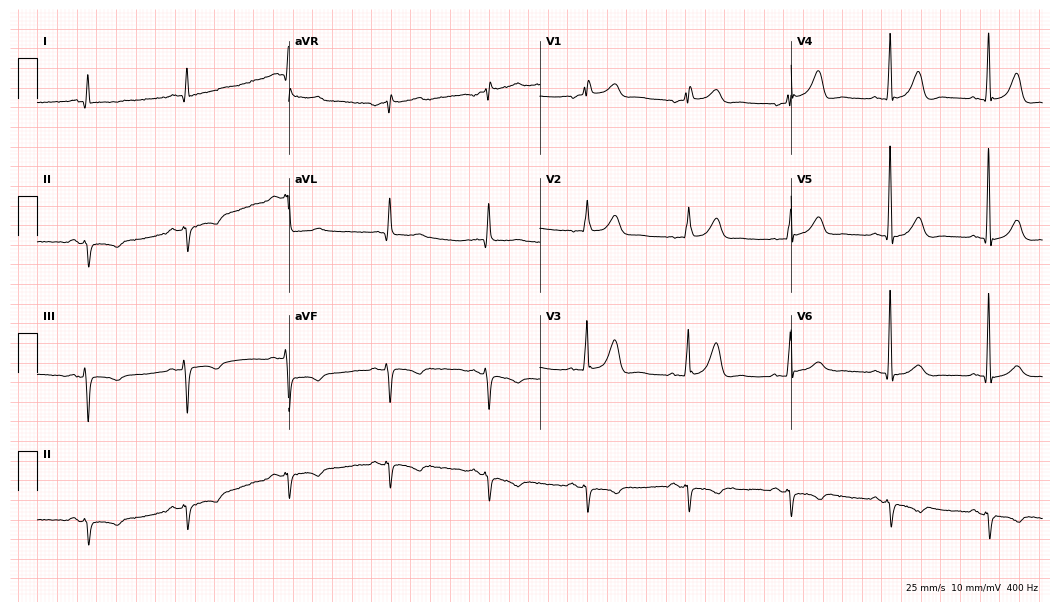
Standard 12-lead ECG recorded from an 83-year-old man. None of these six findings is recorded: first-degree AV block, right bundle branch block, left bundle branch block, sinus bradycardia, atrial fibrillation, sinus tachycardia. Other findings, if any, are not listed.